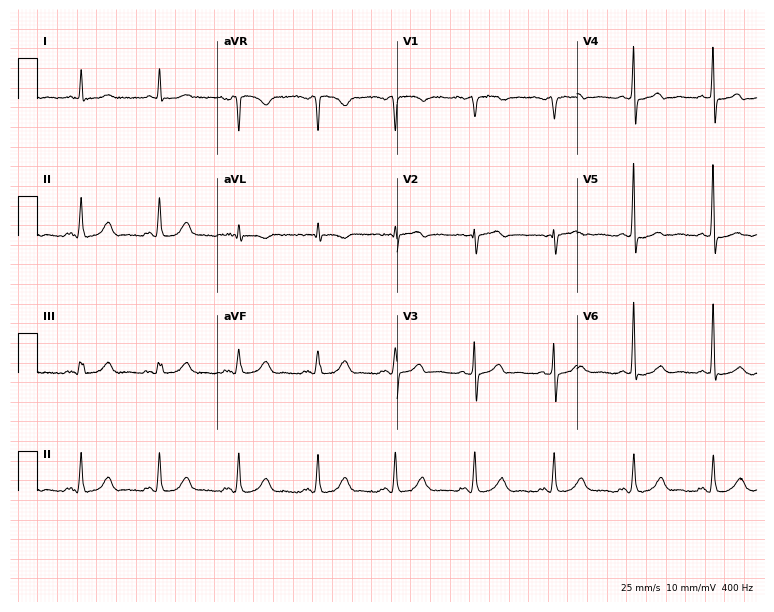
Electrocardiogram (7.3-second recording at 400 Hz), a male patient, 78 years old. Of the six screened findings (first-degree AV block, right bundle branch block, left bundle branch block, sinus bradycardia, atrial fibrillation, sinus tachycardia), none is recorded. Findings outside these six are not listed.